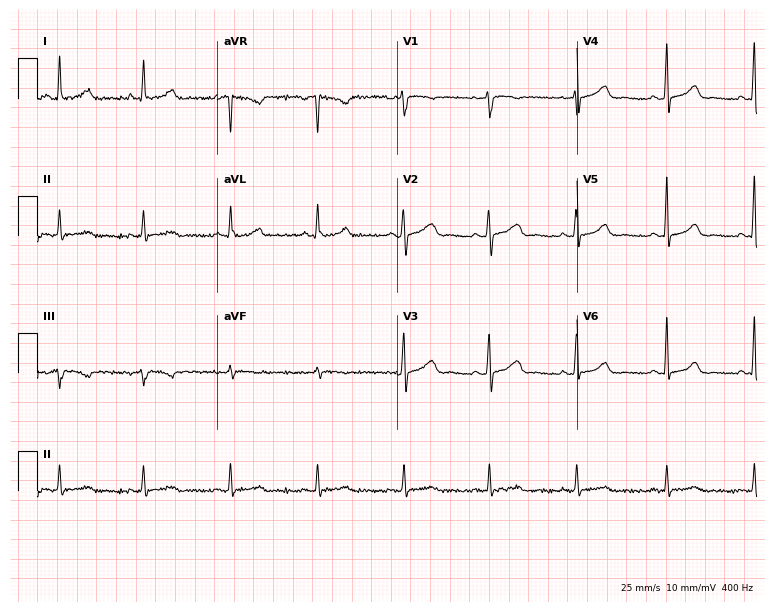
Standard 12-lead ECG recorded from a 47-year-old woman. None of these six findings is recorded: first-degree AV block, right bundle branch block (RBBB), left bundle branch block (LBBB), sinus bradycardia, atrial fibrillation (AF), sinus tachycardia.